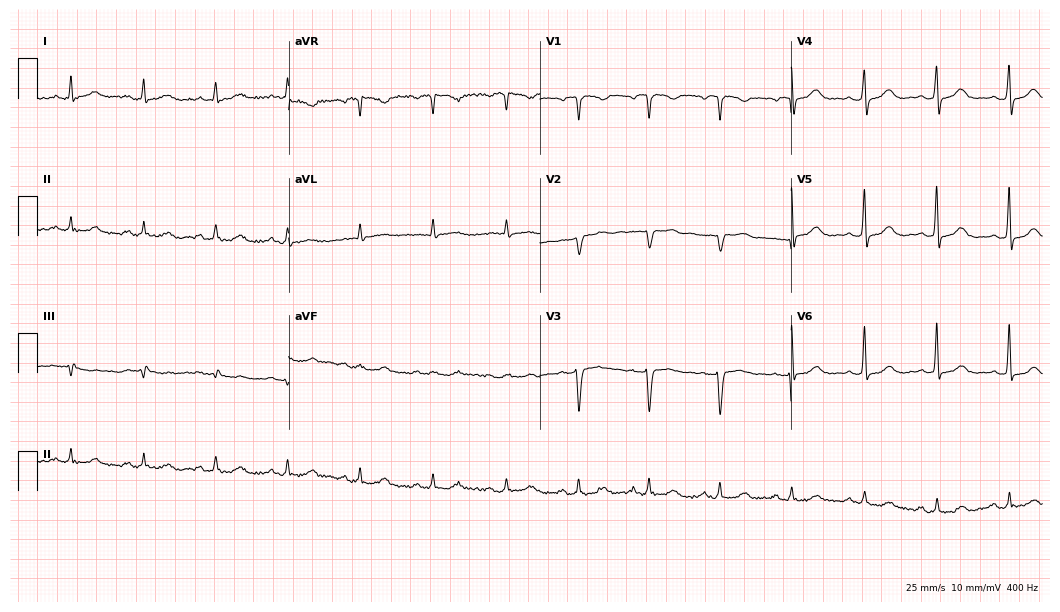
Resting 12-lead electrocardiogram. Patient: a woman, 61 years old. None of these six findings is recorded: first-degree AV block, right bundle branch block, left bundle branch block, sinus bradycardia, atrial fibrillation, sinus tachycardia.